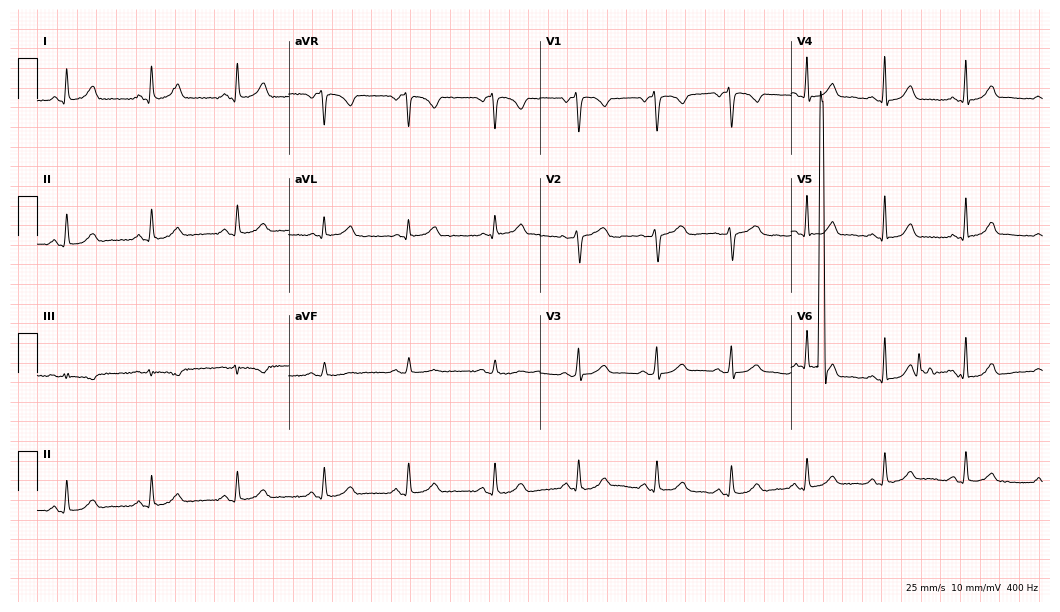
12-lead ECG from a woman, 48 years old (10.2-second recording at 400 Hz). Recorded interpretation: within normal limits.